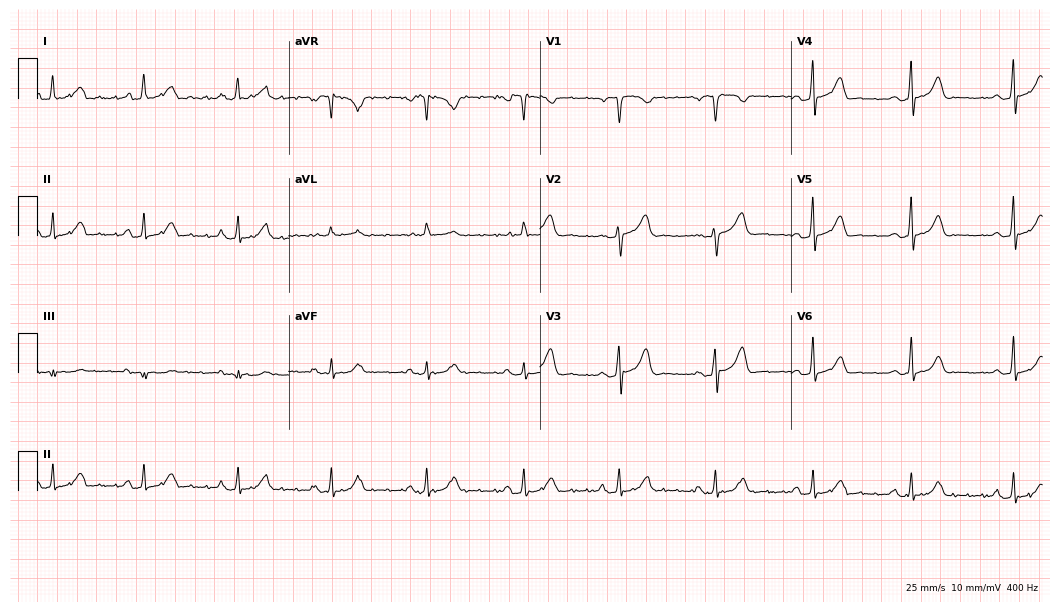
12-lead ECG from a 69-year-old male patient. Recorded interpretation: within normal limits.